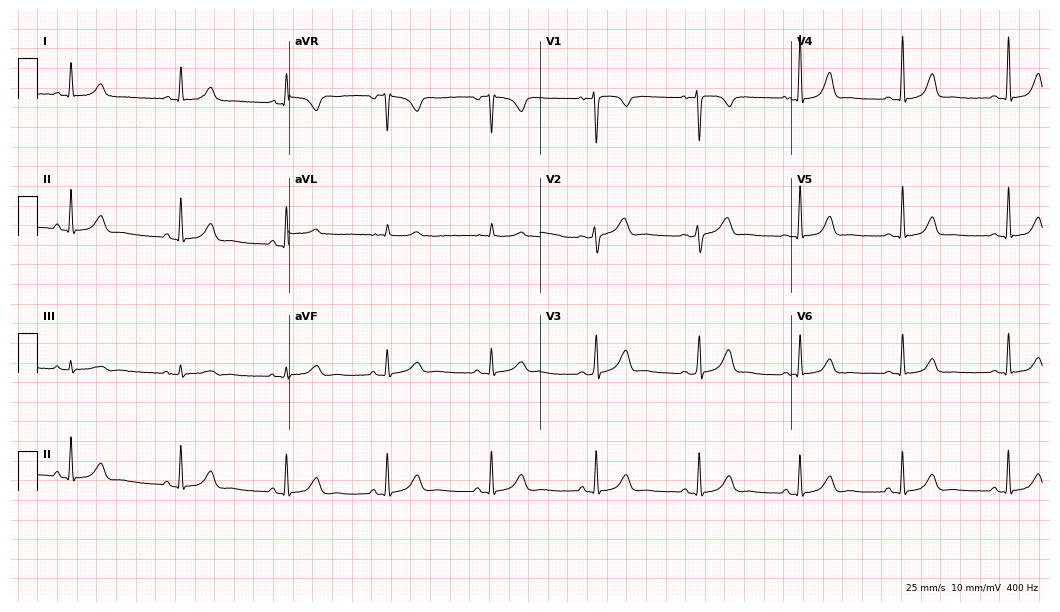
12-lead ECG from a woman, 42 years old (10.2-second recording at 400 Hz). No first-degree AV block, right bundle branch block, left bundle branch block, sinus bradycardia, atrial fibrillation or sinus tachycardia recorded for this tracing.